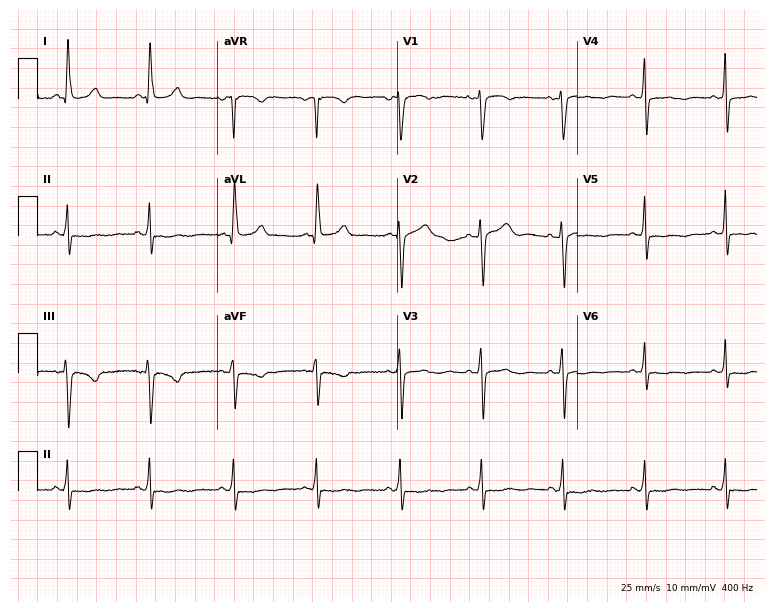
12-lead ECG from a female patient, 71 years old. Screened for six findings — first-degree AV block, right bundle branch block, left bundle branch block, sinus bradycardia, atrial fibrillation, sinus tachycardia — none is recorded. Findings outside these six are not listed.